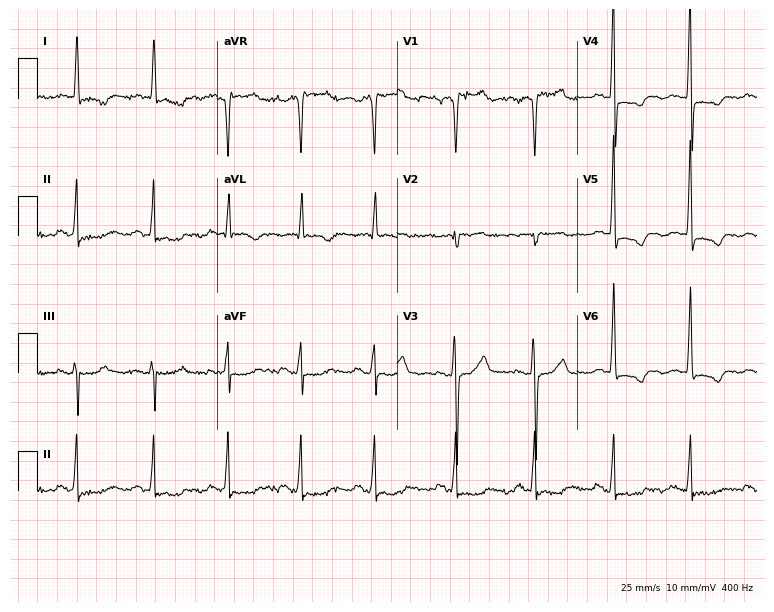
12-lead ECG from a 75-year-old female. No first-degree AV block, right bundle branch block, left bundle branch block, sinus bradycardia, atrial fibrillation or sinus tachycardia recorded for this tracing.